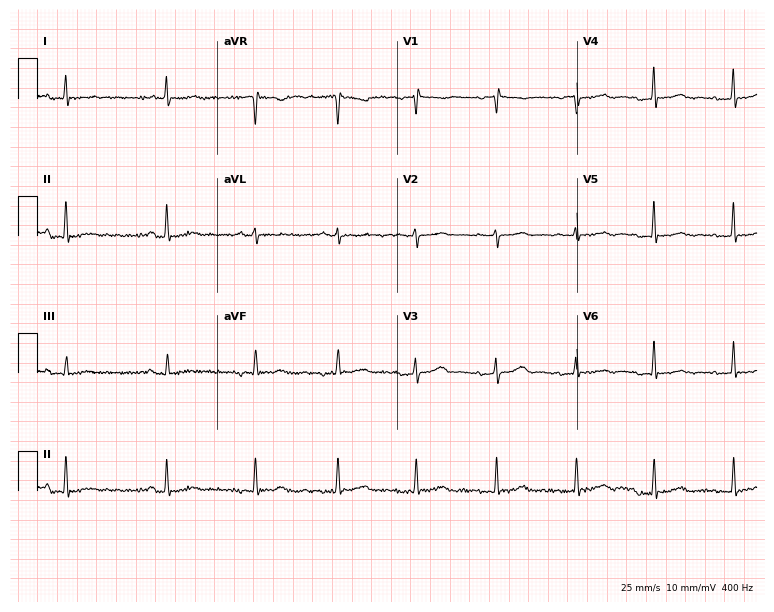
ECG (7.3-second recording at 400 Hz) — a female, 62 years old. Screened for six findings — first-degree AV block, right bundle branch block (RBBB), left bundle branch block (LBBB), sinus bradycardia, atrial fibrillation (AF), sinus tachycardia — none is recorded.